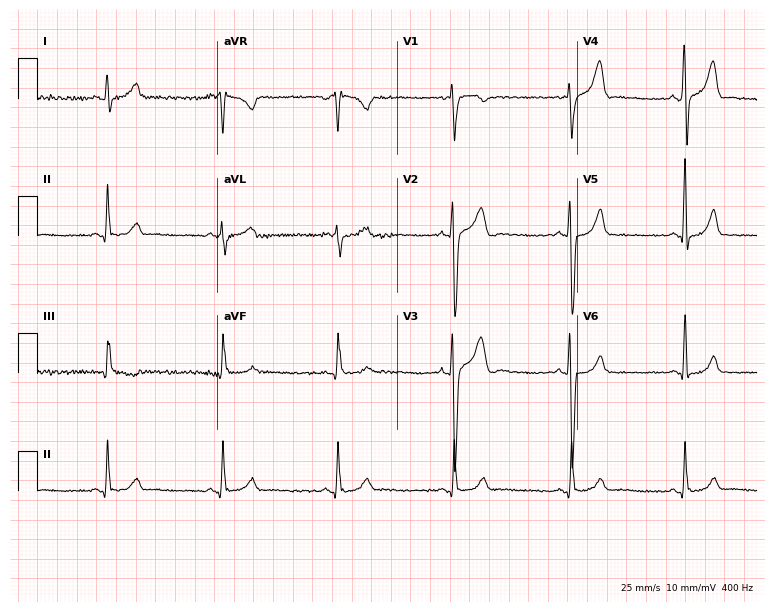
12-lead ECG from a male, 33 years old. No first-degree AV block, right bundle branch block, left bundle branch block, sinus bradycardia, atrial fibrillation or sinus tachycardia recorded for this tracing.